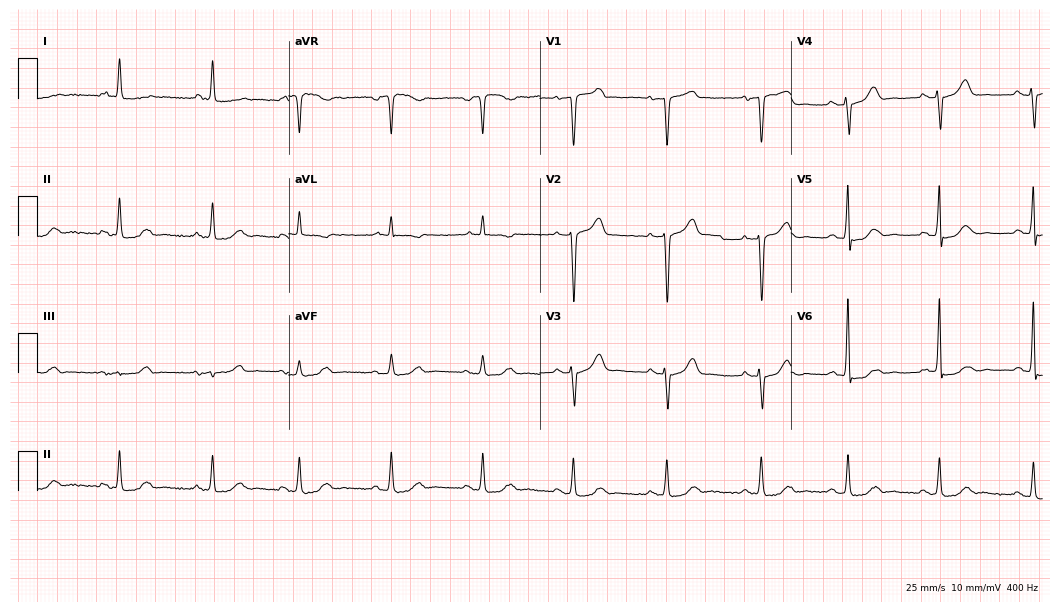
Standard 12-lead ECG recorded from a 75-year-old male patient. None of these six findings is recorded: first-degree AV block, right bundle branch block, left bundle branch block, sinus bradycardia, atrial fibrillation, sinus tachycardia.